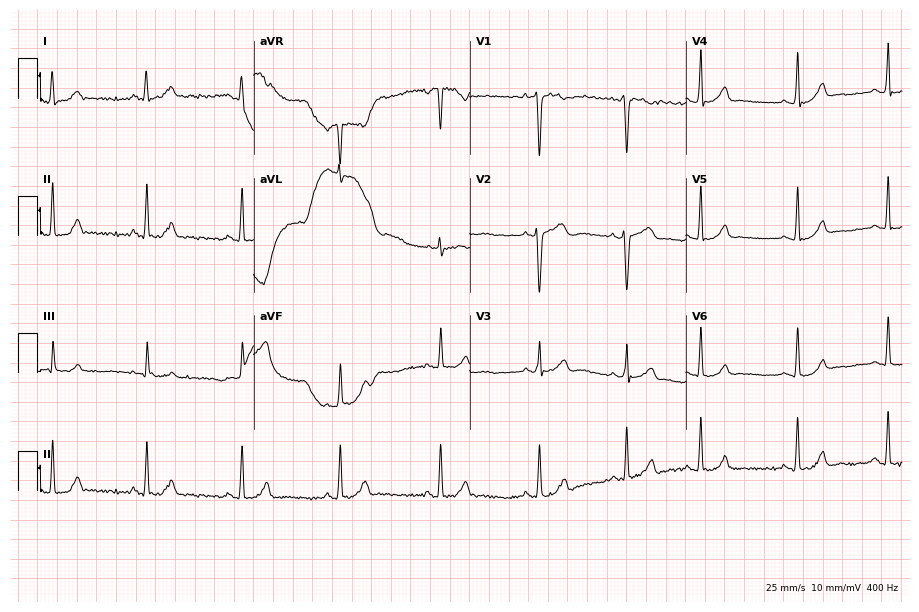
Resting 12-lead electrocardiogram. Patient: a woman, 21 years old. Read as a normal ECG.